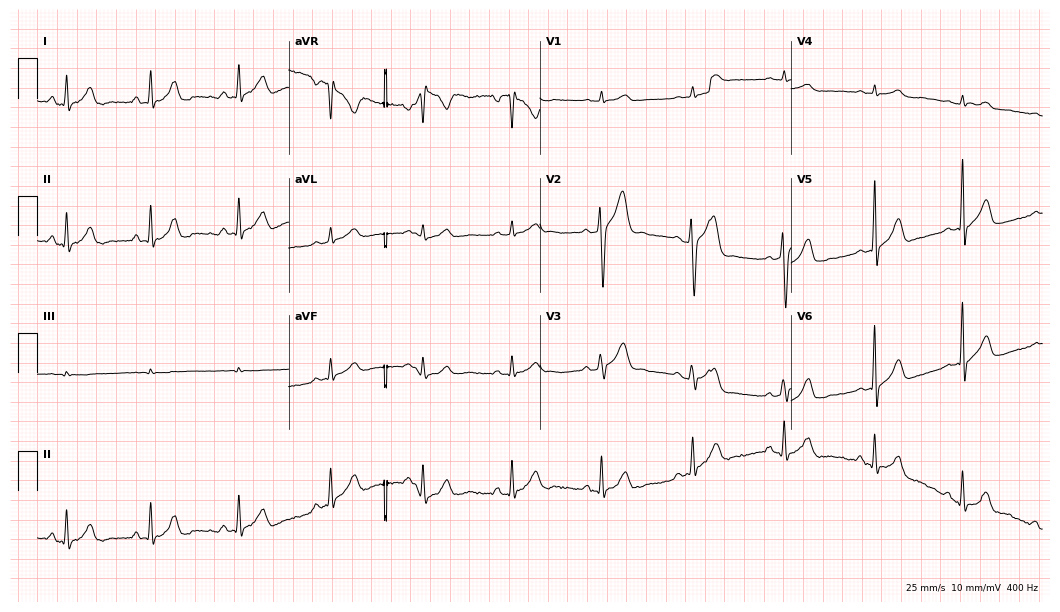
12-lead ECG from a 32-year-old male (10.2-second recording at 400 Hz). No first-degree AV block, right bundle branch block (RBBB), left bundle branch block (LBBB), sinus bradycardia, atrial fibrillation (AF) or sinus tachycardia recorded for this tracing. Other findings, if any, are not listed.